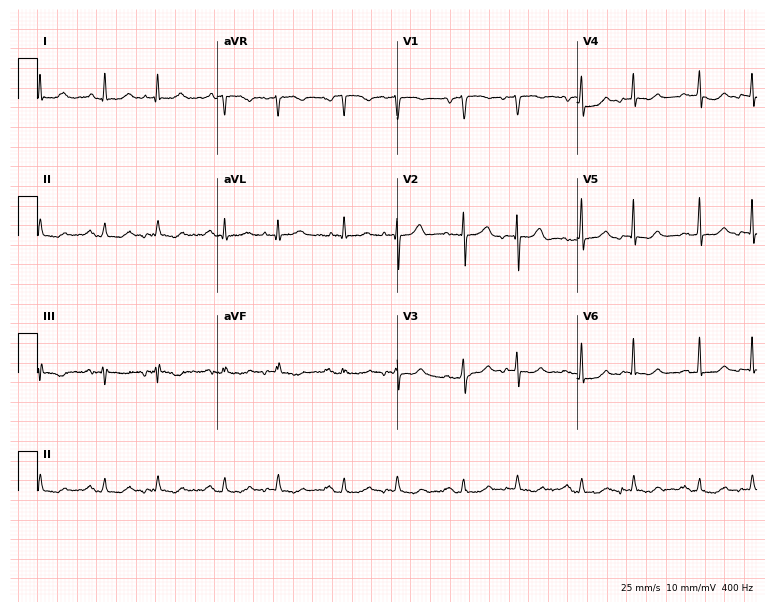
ECG — a woman, 76 years old. Labelled as a normal ECG.